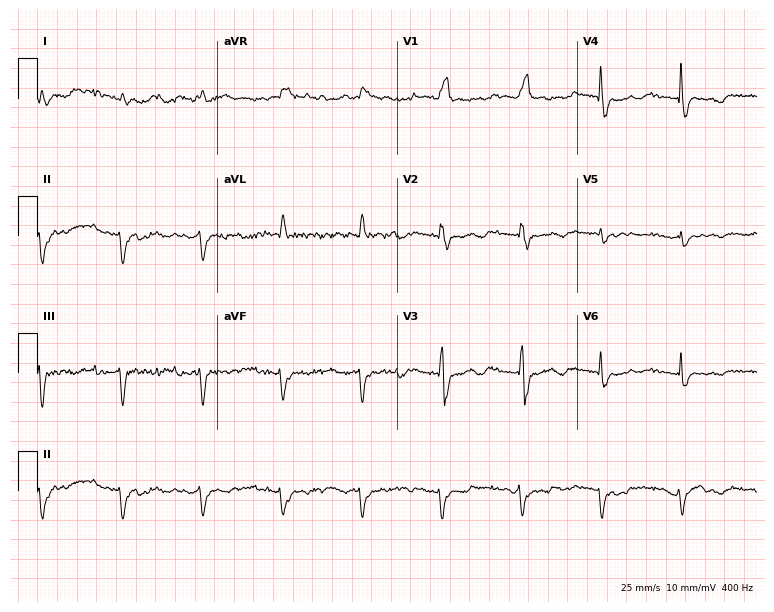
ECG — a male patient, 76 years old. Screened for six findings — first-degree AV block, right bundle branch block (RBBB), left bundle branch block (LBBB), sinus bradycardia, atrial fibrillation (AF), sinus tachycardia — none is recorded.